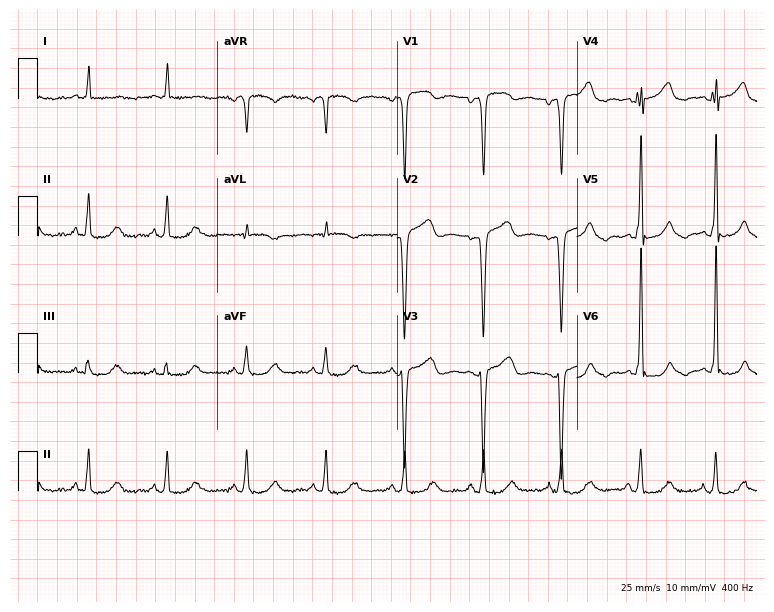
Resting 12-lead electrocardiogram. Patient: an 81-year-old female. Read as a normal ECG.